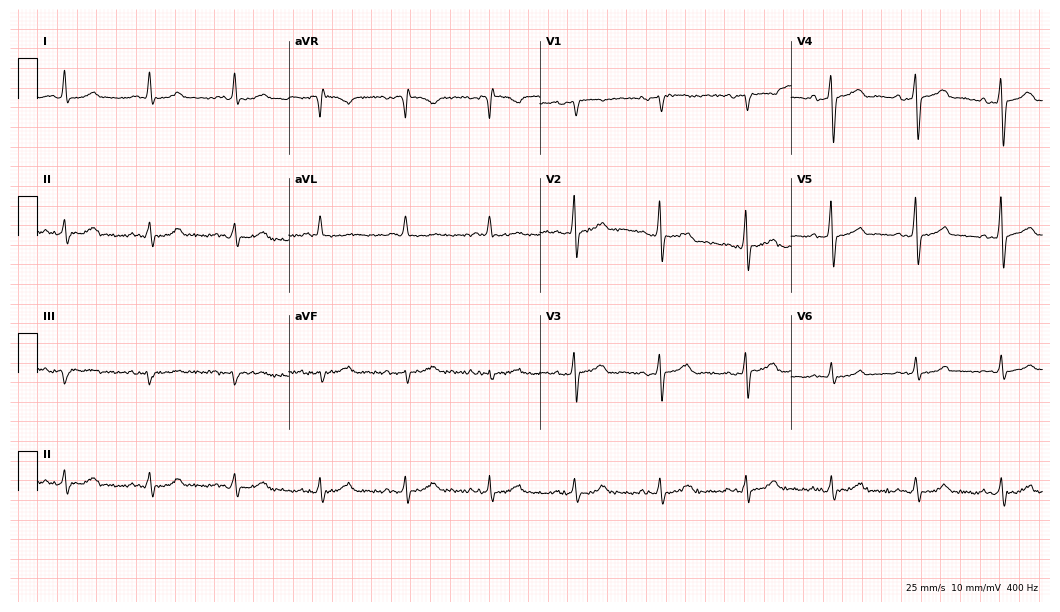
12-lead ECG from a male patient, 85 years old (10.2-second recording at 400 Hz). Recorded interpretation: within normal limits.